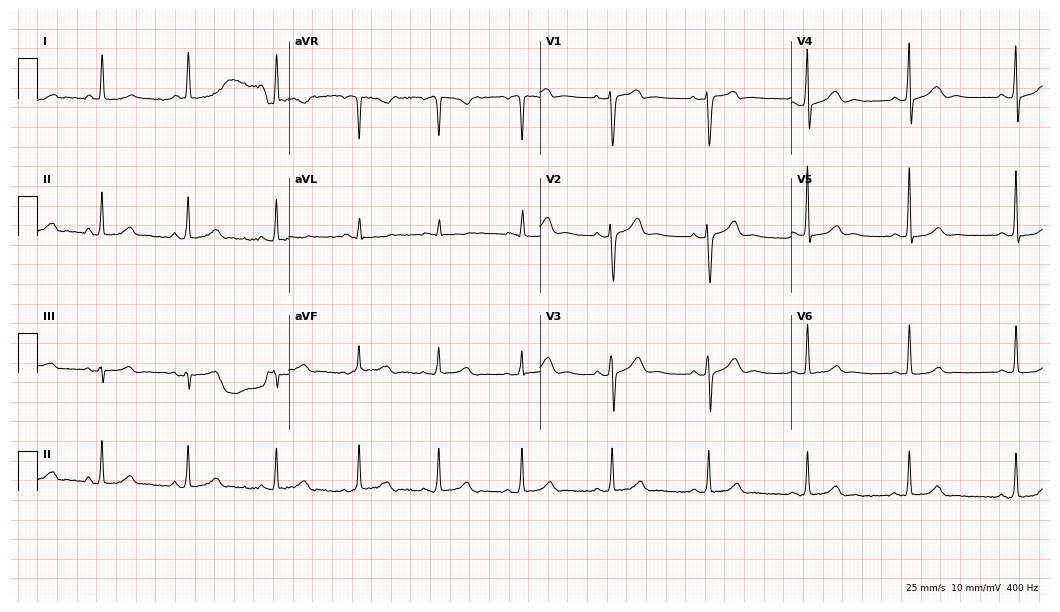
12-lead ECG from a woman, 54 years old. Recorded interpretation: within normal limits.